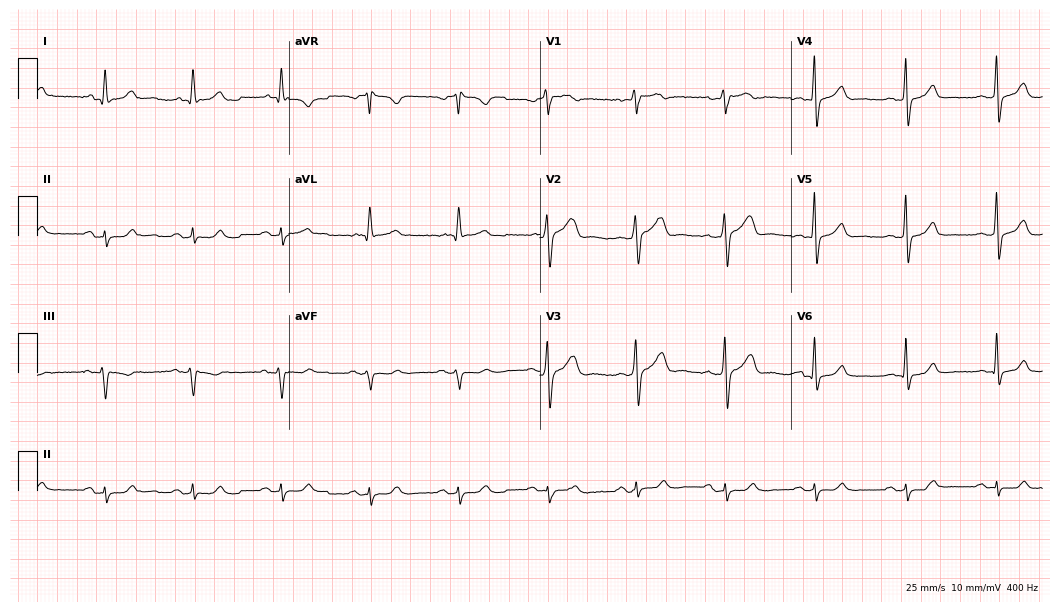
ECG — a 62-year-old male. Screened for six findings — first-degree AV block, right bundle branch block, left bundle branch block, sinus bradycardia, atrial fibrillation, sinus tachycardia — none is recorded. Only these six findings were labelled.